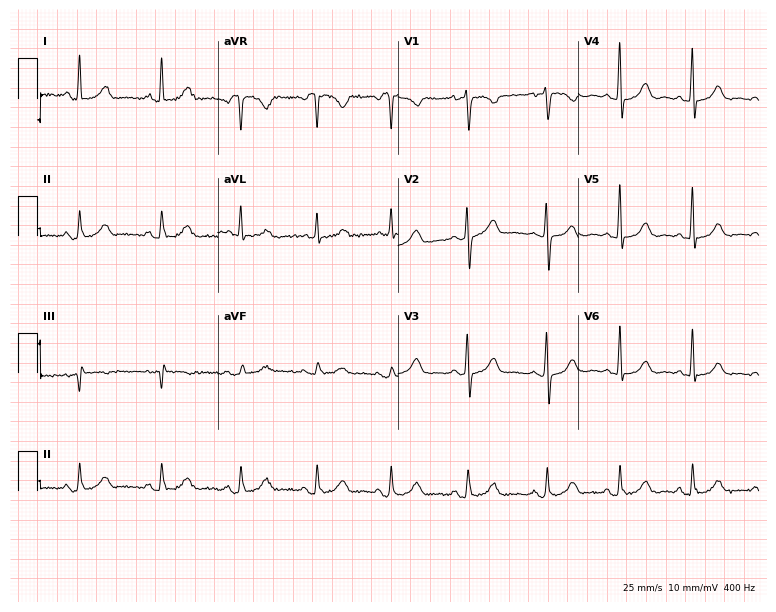
12-lead ECG from a 58-year-old woman. Labelled as a normal ECG.